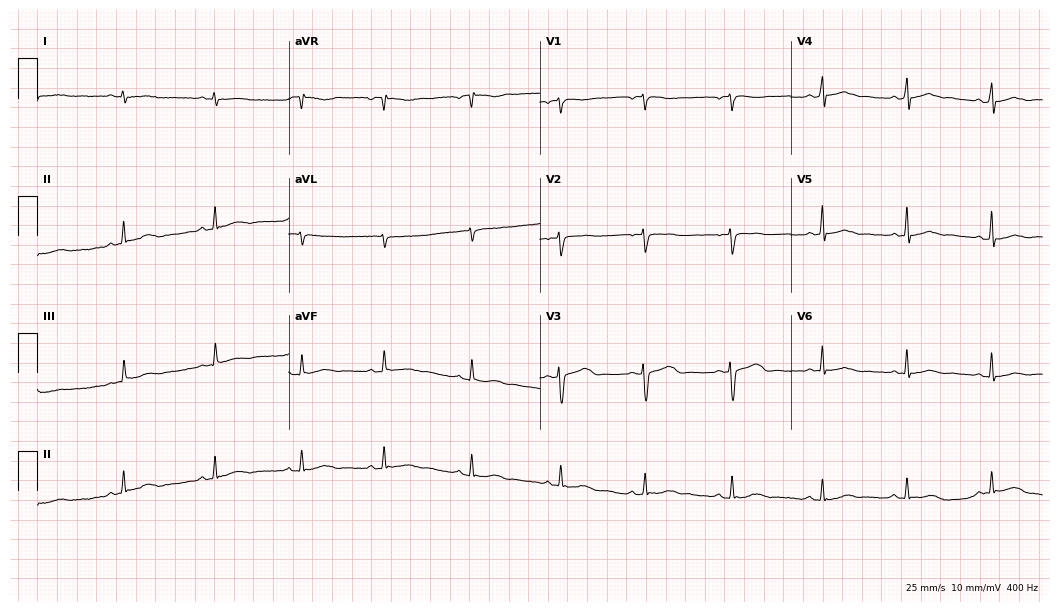
12-lead ECG (10.2-second recording at 400 Hz) from a woman, 37 years old. Labelled as a normal ECG.